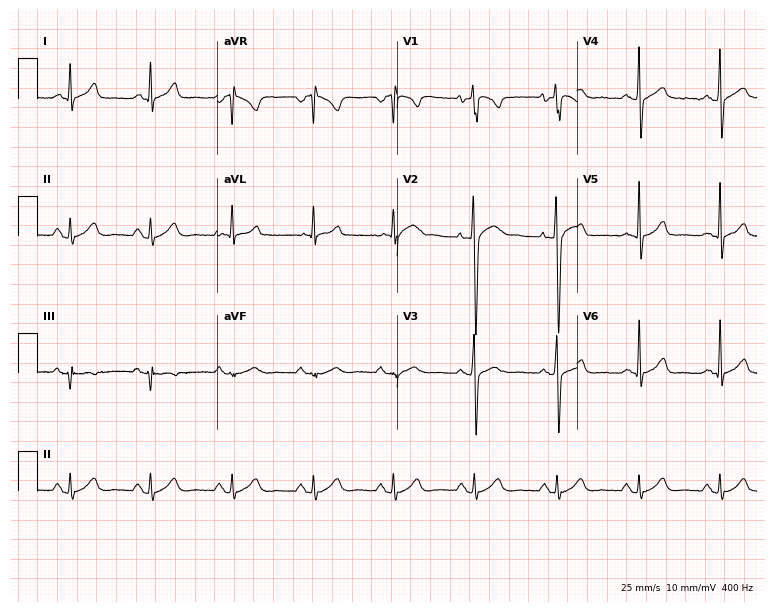
12-lead ECG from a 34-year-old male patient. Screened for six findings — first-degree AV block, right bundle branch block, left bundle branch block, sinus bradycardia, atrial fibrillation, sinus tachycardia — none is recorded. Other findings, if any, are not listed.